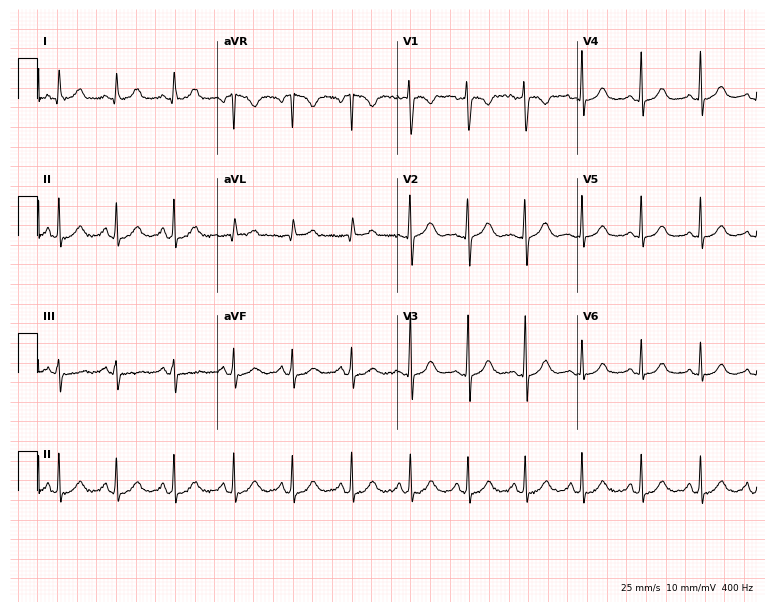
Standard 12-lead ECG recorded from a 23-year-old female patient (7.3-second recording at 400 Hz). Read as a normal ECG.